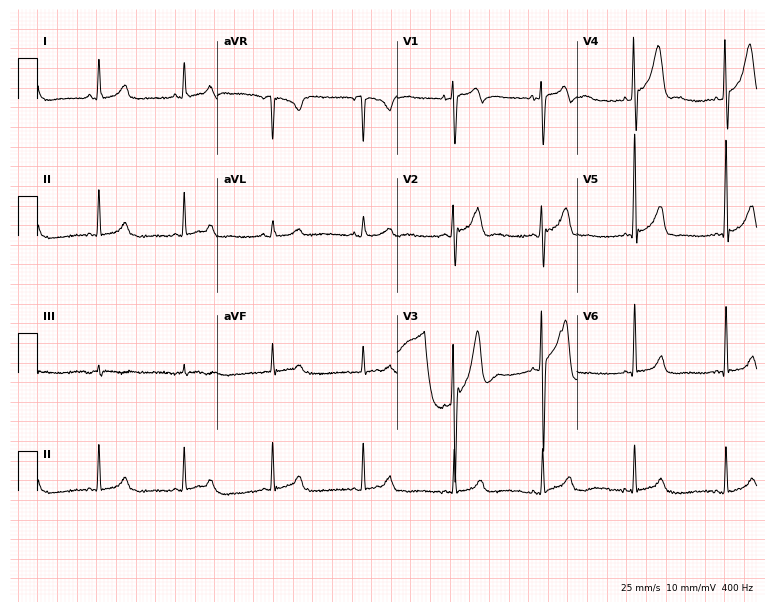
Electrocardiogram (7.3-second recording at 400 Hz), a male patient, 24 years old. Of the six screened findings (first-degree AV block, right bundle branch block (RBBB), left bundle branch block (LBBB), sinus bradycardia, atrial fibrillation (AF), sinus tachycardia), none is recorded. Only these six findings were labelled.